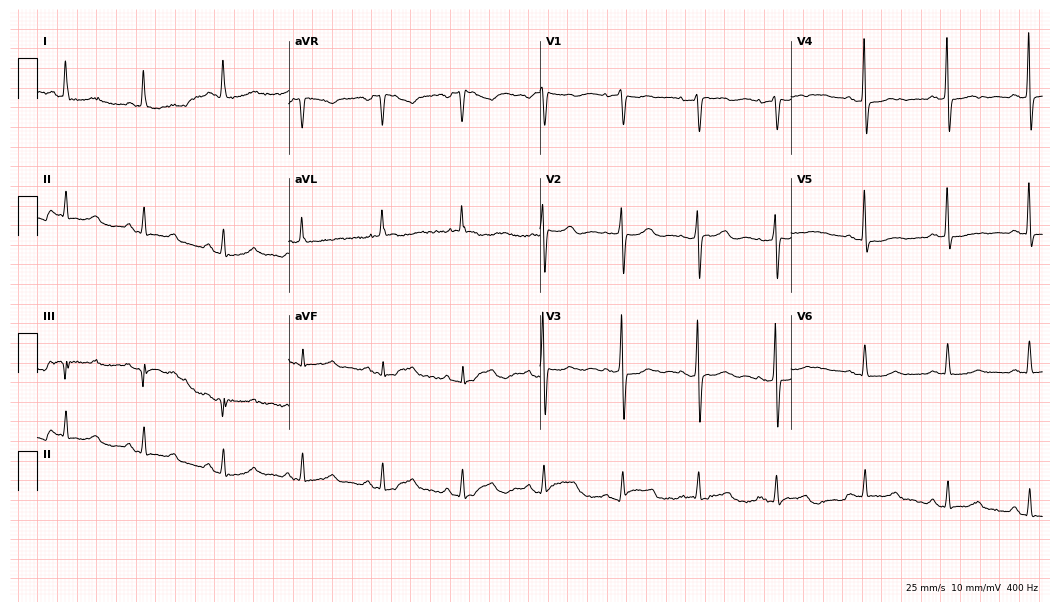
12-lead ECG from a 71-year-old female. No first-degree AV block, right bundle branch block, left bundle branch block, sinus bradycardia, atrial fibrillation or sinus tachycardia recorded for this tracing.